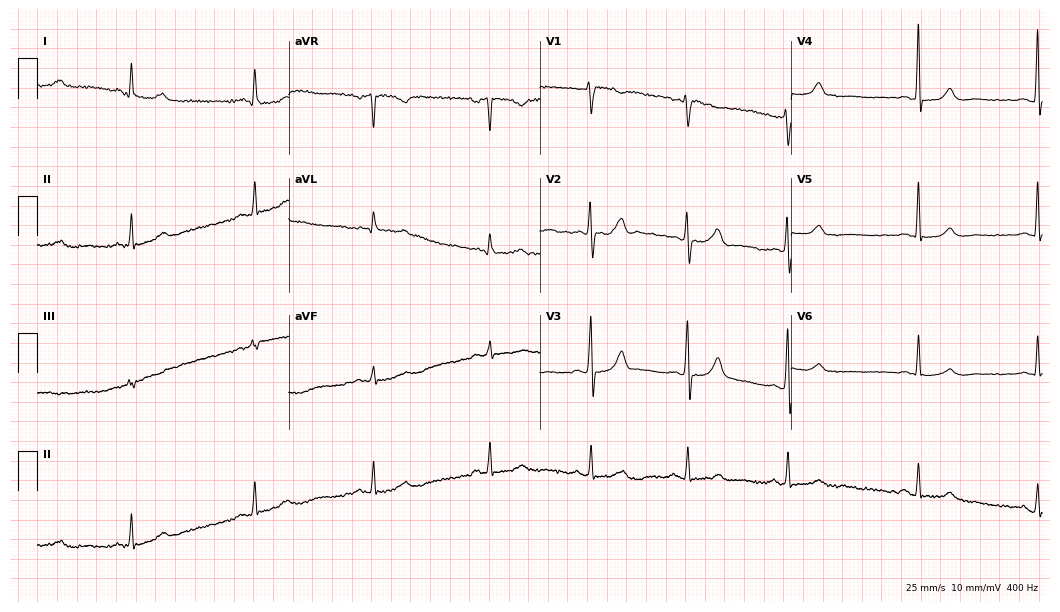
ECG — a 67-year-old female. Labelled as a normal ECG.